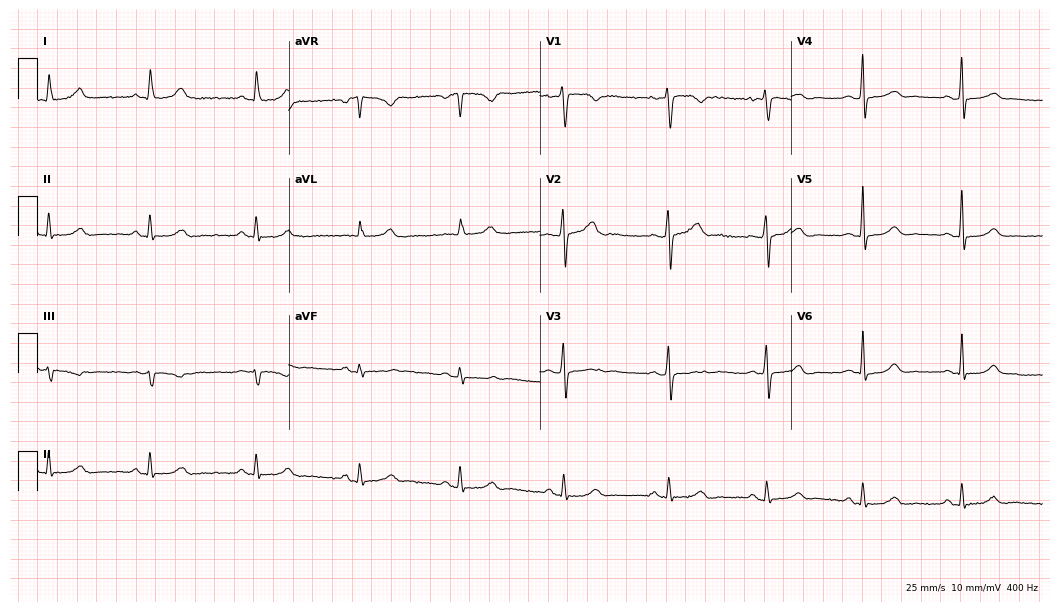
ECG — a 40-year-old female. Labelled as a normal ECG.